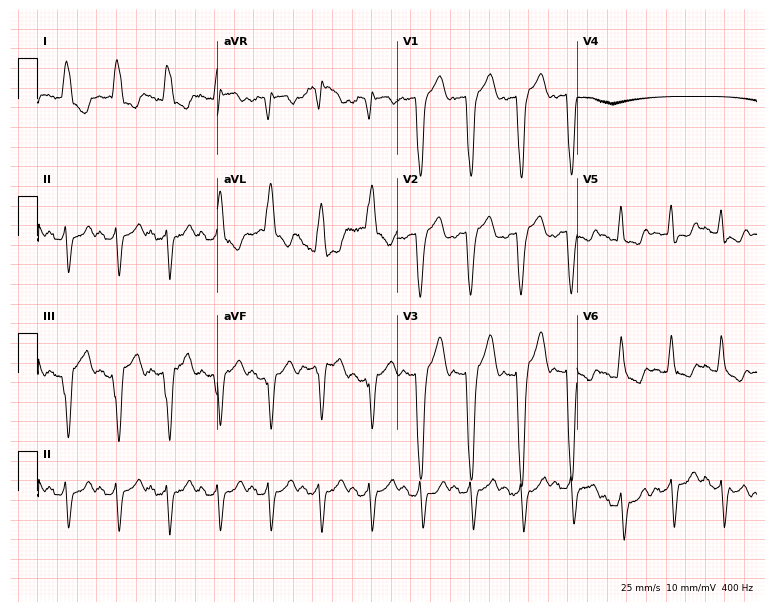
Resting 12-lead electrocardiogram. Patient: a woman, 84 years old. The tracing shows sinus tachycardia (a sinus rate of 100 beats per minute or more).